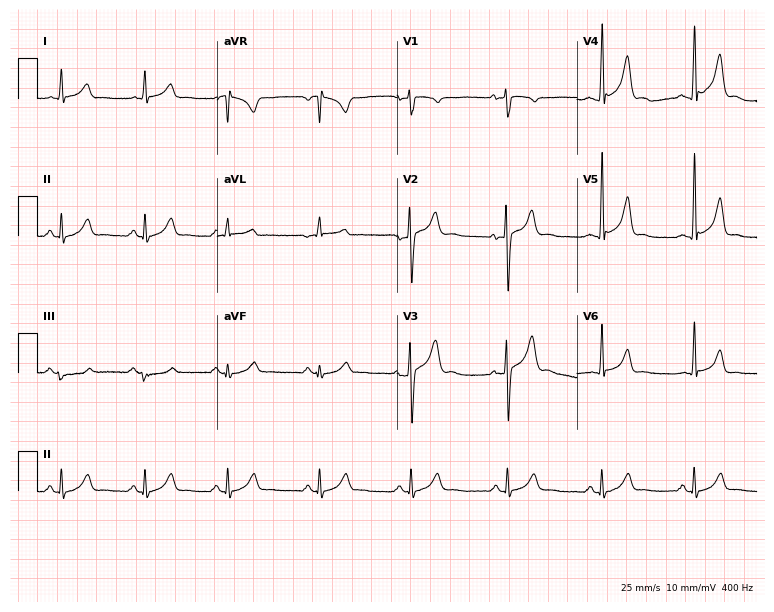
Standard 12-lead ECG recorded from a 24-year-old male patient. Read as a normal ECG.